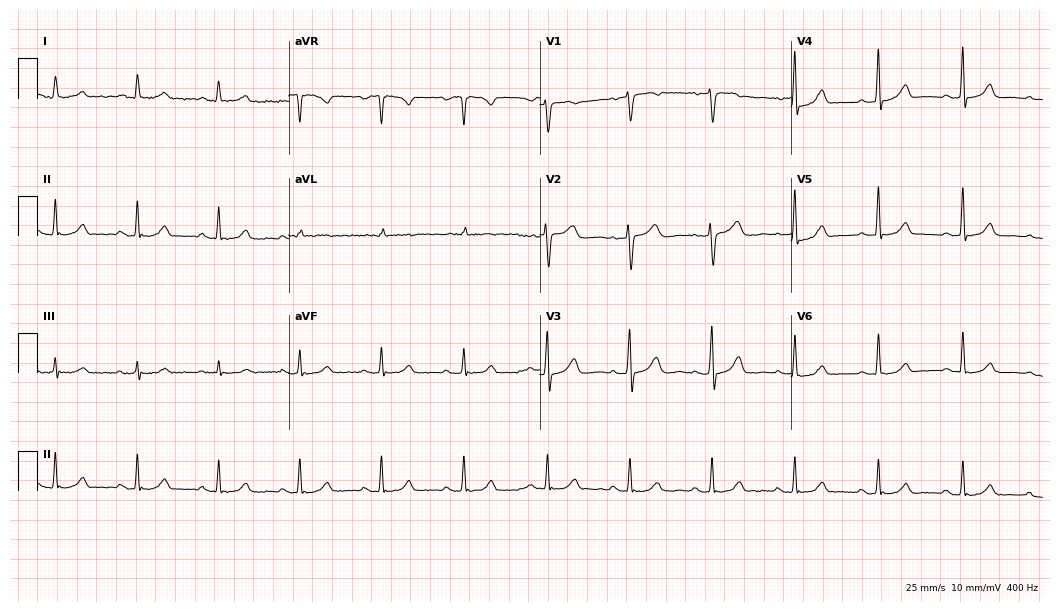
Electrocardiogram, a 71-year-old woman. Overall reading on record: normal ECG.